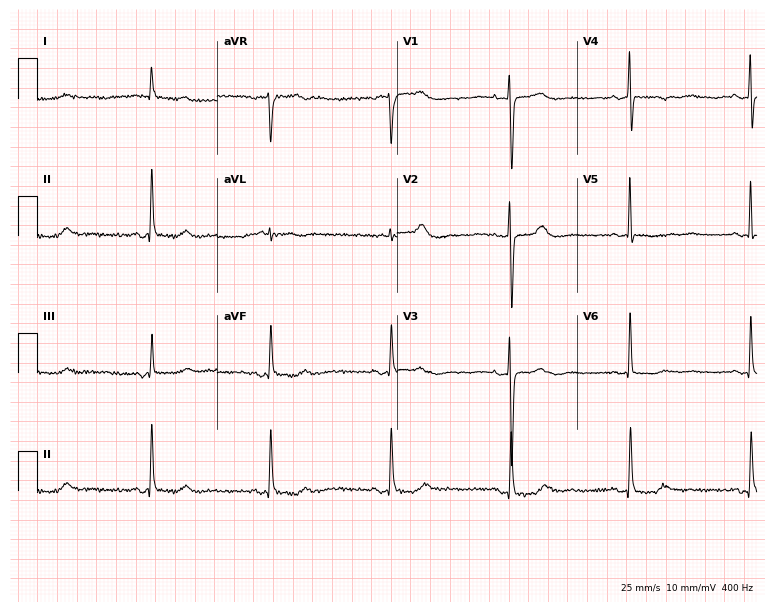
ECG — a female patient, 68 years old. Findings include sinus bradycardia (a sinus rate of 50 beats per minute or less).